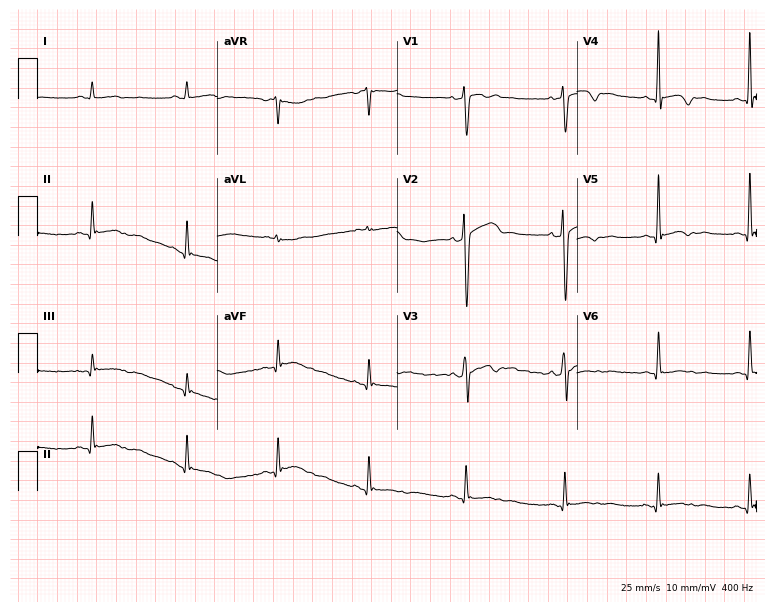
Standard 12-lead ECG recorded from a 28-year-old man (7.3-second recording at 400 Hz). None of these six findings is recorded: first-degree AV block, right bundle branch block, left bundle branch block, sinus bradycardia, atrial fibrillation, sinus tachycardia. Only these six findings were labelled.